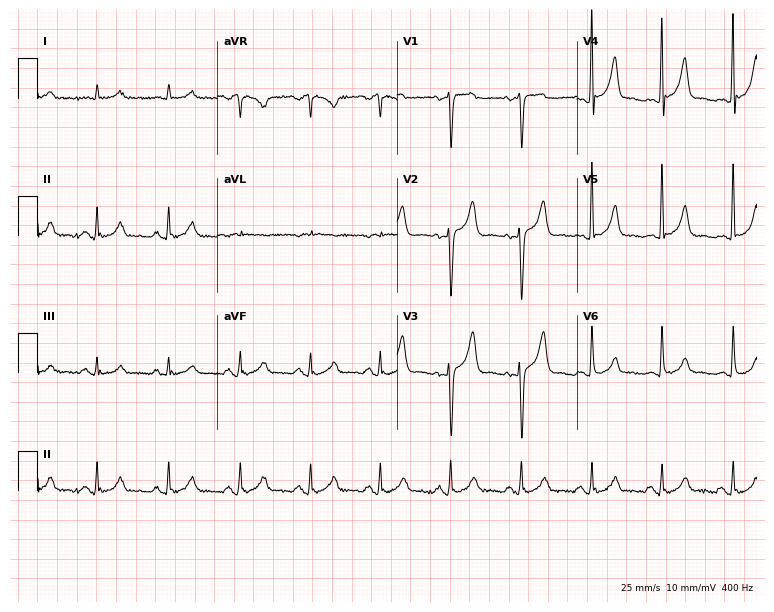
ECG — a 64-year-old male. Labelled as a normal ECG.